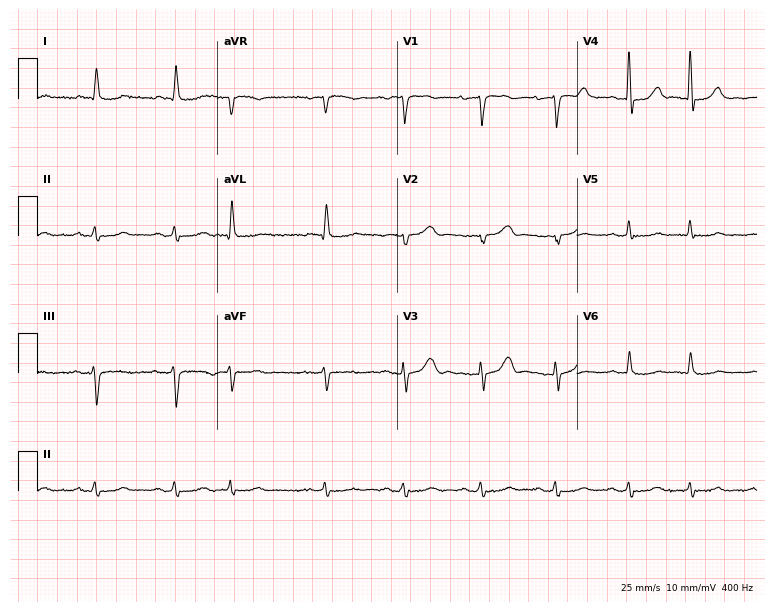
12-lead ECG from a 68-year-old female. No first-degree AV block, right bundle branch block, left bundle branch block, sinus bradycardia, atrial fibrillation or sinus tachycardia recorded for this tracing. Other findings, if any, are not listed.